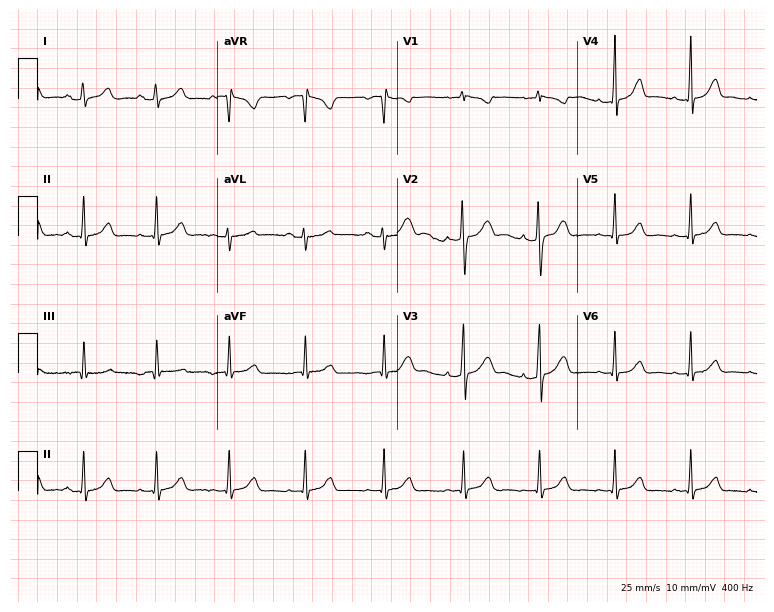
Resting 12-lead electrocardiogram. Patient: a female, 22 years old. None of these six findings is recorded: first-degree AV block, right bundle branch block, left bundle branch block, sinus bradycardia, atrial fibrillation, sinus tachycardia. Other findings, if any, are not listed.